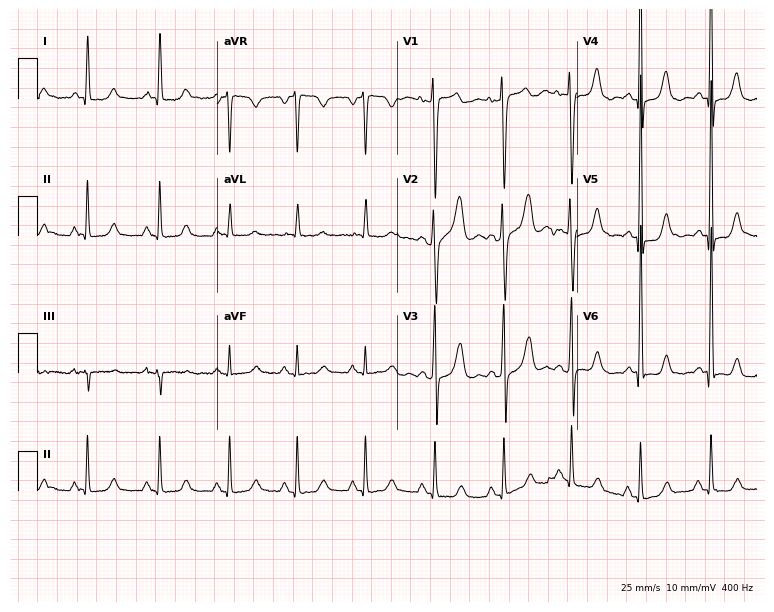
Standard 12-lead ECG recorded from a female, 47 years old (7.3-second recording at 400 Hz). None of these six findings is recorded: first-degree AV block, right bundle branch block (RBBB), left bundle branch block (LBBB), sinus bradycardia, atrial fibrillation (AF), sinus tachycardia. Findings outside these six are not listed.